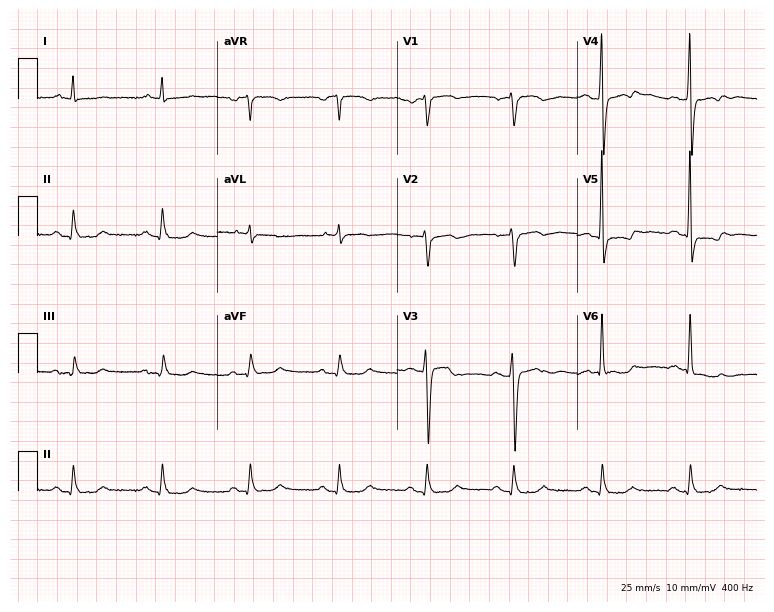
Electrocardiogram (7.3-second recording at 400 Hz), a 77-year-old male patient. Of the six screened findings (first-degree AV block, right bundle branch block, left bundle branch block, sinus bradycardia, atrial fibrillation, sinus tachycardia), none is recorded. Other findings, if any, are not listed.